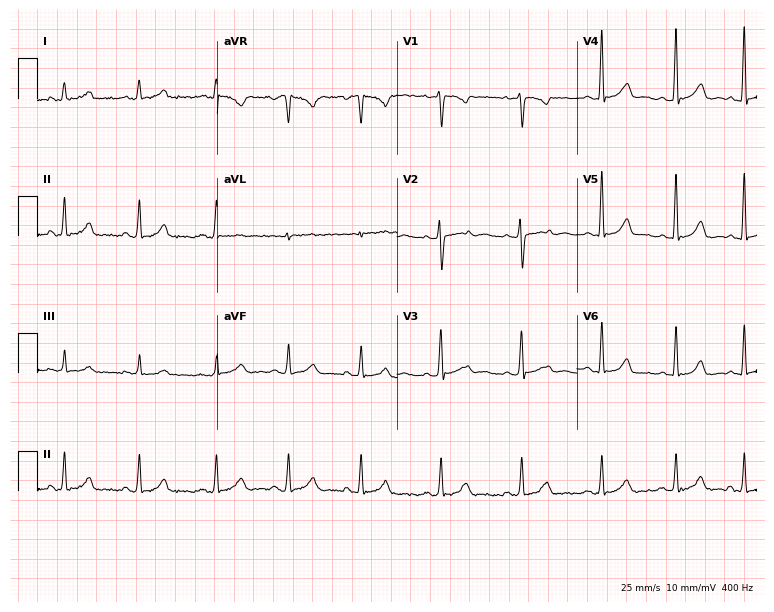
Electrocardiogram, a woman, 32 years old. Of the six screened findings (first-degree AV block, right bundle branch block (RBBB), left bundle branch block (LBBB), sinus bradycardia, atrial fibrillation (AF), sinus tachycardia), none is recorded. Only these six findings were labelled.